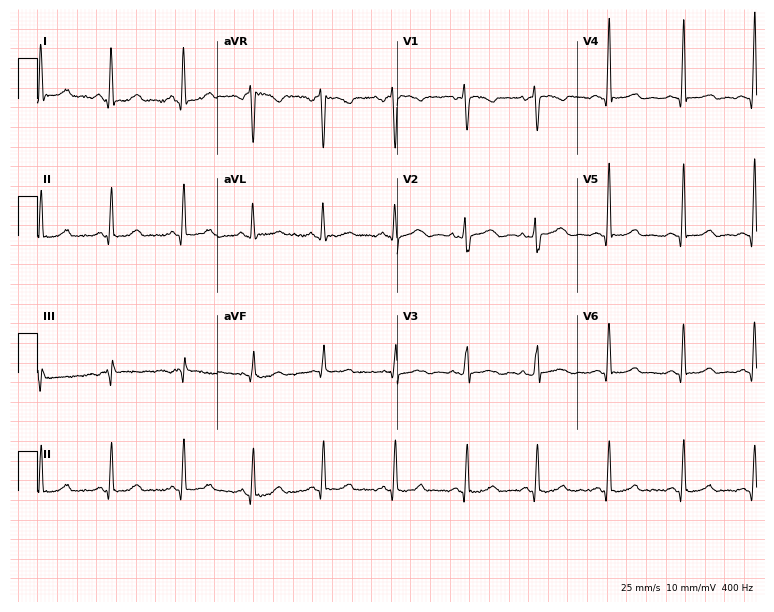
Resting 12-lead electrocardiogram (7.3-second recording at 400 Hz). Patient: a female, 45 years old. Read as a normal ECG.